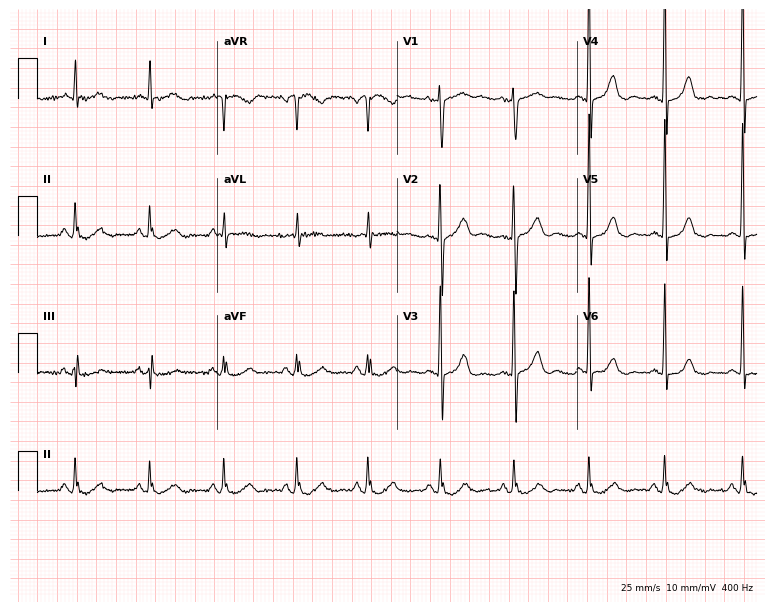
Standard 12-lead ECG recorded from a 75-year-old woman (7.3-second recording at 400 Hz). None of these six findings is recorded: first-degree AV block, right bundle branch block, left bundle branch block, sinus bradycardia, atrial fibrillation, sinus tachycardia.